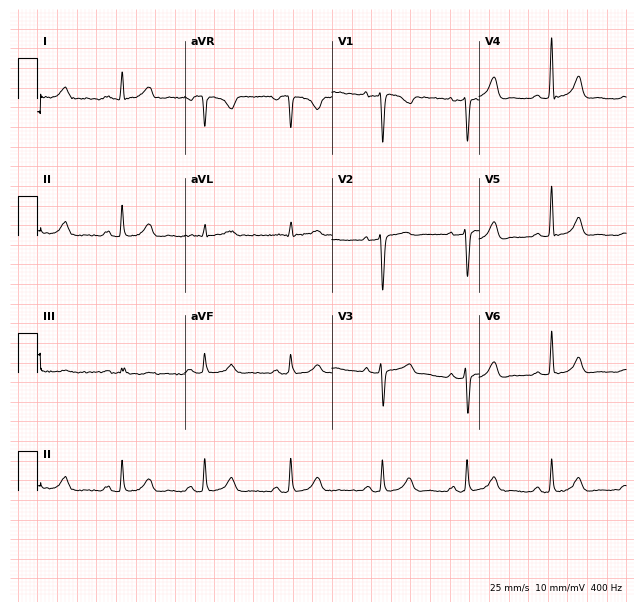
ECG — a woman, 37 years old. Labelled as a normal ECG.